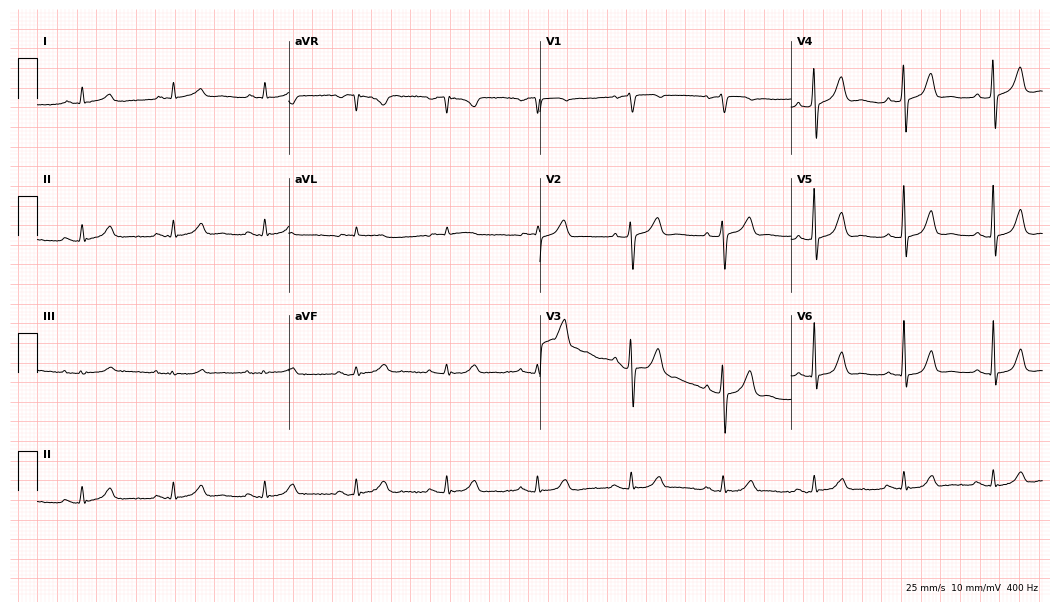
12-lead ECG from a male patient, 76 years old (10.2-second recording at 400 Hz). Recorded interpretation: within normal limits.